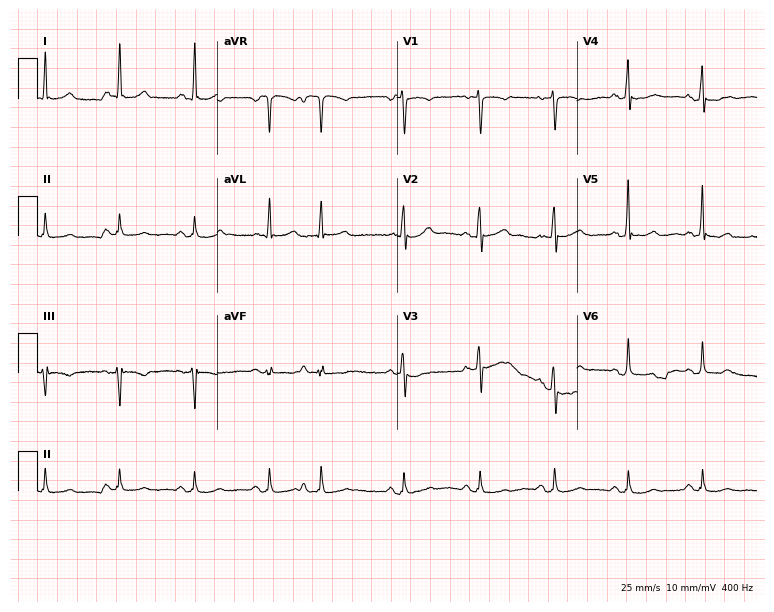
Standard 12-lead ECG recorded from a 76-year-old woman (7.3-second recording at 400 Hz). None of these six findings is recorded: first-degree AV block, right bundle branch block, left bundle branch block, sinus bradycardia, atrial fibrillation, sinus tachycardia.